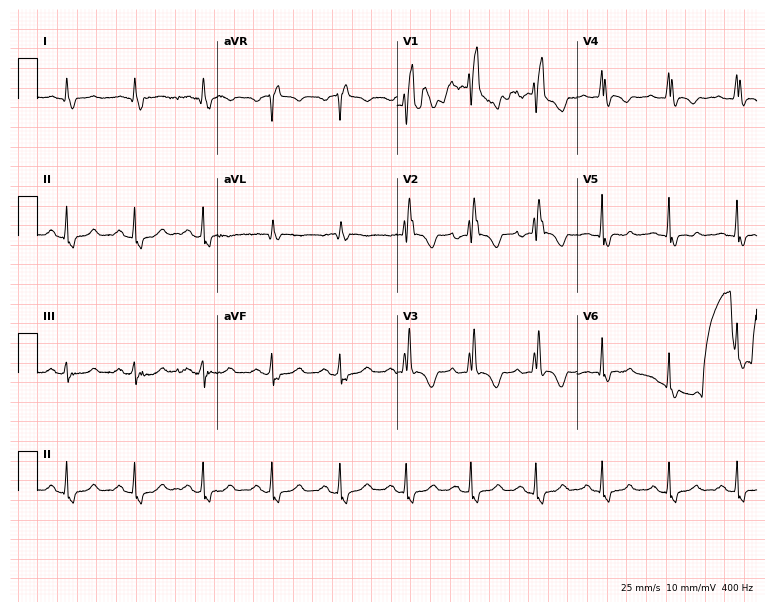
Electrocardiogram (7.3-second recording at 400 Hz), a 71-year-old male patient. Of the six screened findings (first-degree AV block, right bundle branch block (RBBB), left bundle branch block (LBBB), sinus bradycardia, atrial fibrillation (AF), sinus tachycardia), none is recorded. Findings outside these six are not listed.